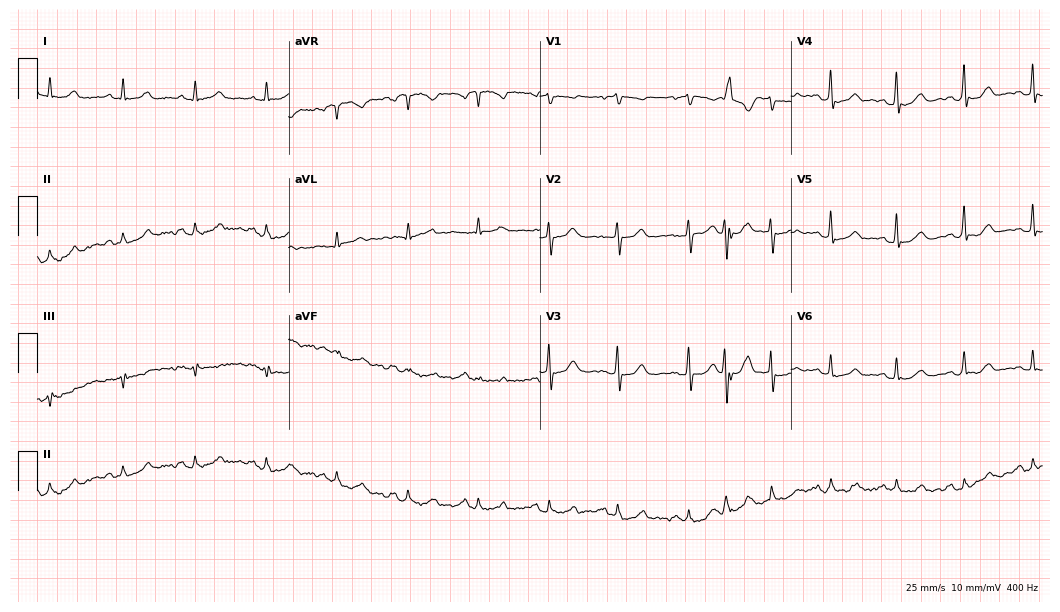
Resting 12-lead electrocardiogram (10.2-second recording at 400 Hz). Patient: a female, 60 years old. None of these six findings is recorded: first-degree AV block, right bundle branch block, left bundle branch block, sinus bradycardia, atrial fibrillation, sinus tachycardia.